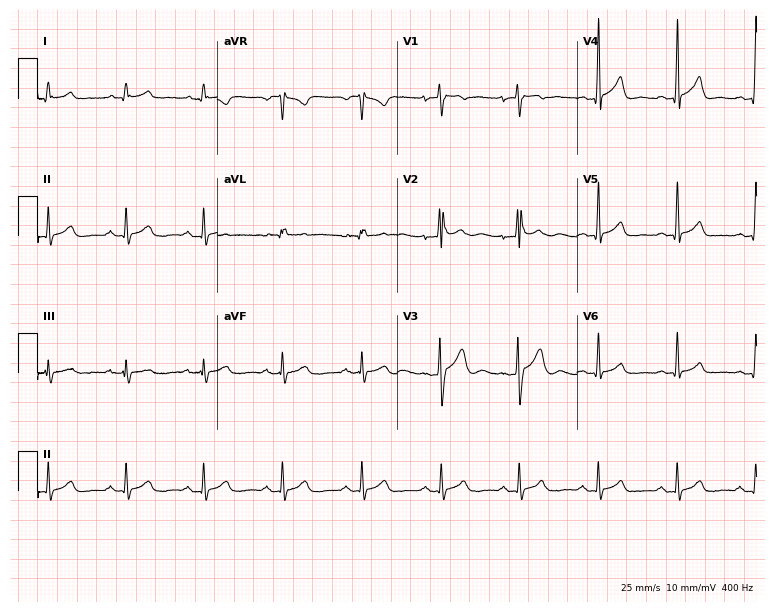
12-lead ECG (7.3-second recording at 400 Hz) from a 21-year-old man. Screened for six findings — first-degree AV block, right bundle branch block, left bundle branch block, sinus bradycardia, atrial fibrillation, sinus tachycardia — none is recorded. Findings outside these six are not listed.